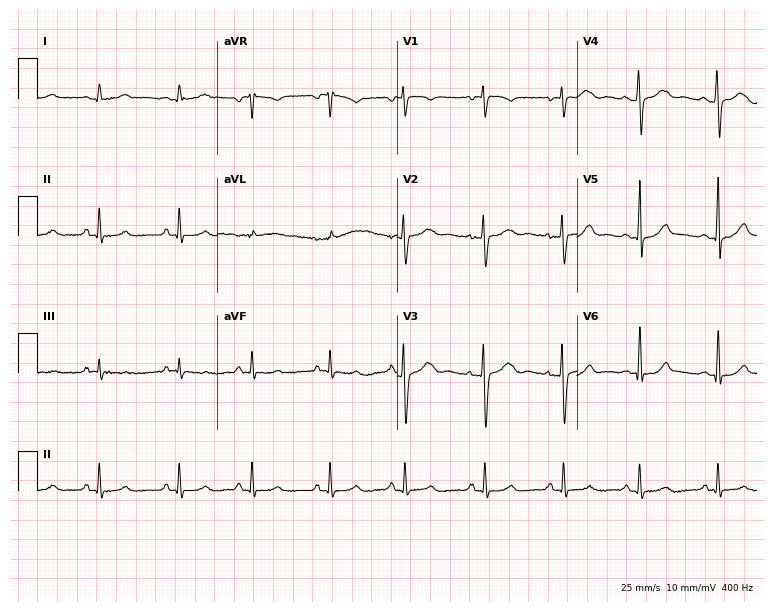
Electrocardiogram (7.3-second recording at 400 Hz), a woman, 17 years old. Of the six screened findings (first-degree AV block, right bundle branch block, left bundle branch block, sinus bradycardia, atrial fibrillation, sinus tachycardia), none is recorded.